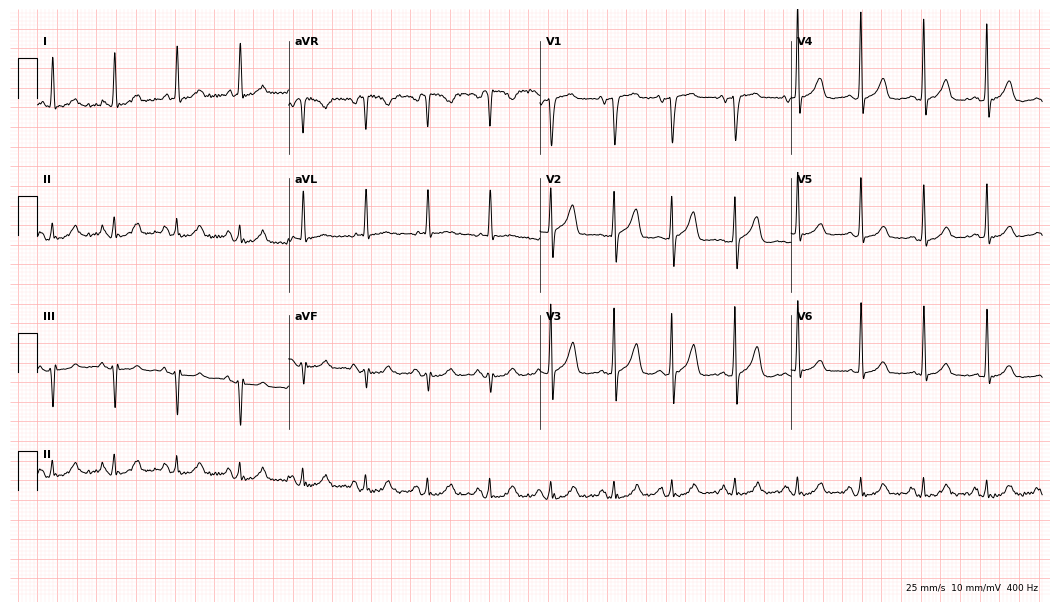
12-lead ECG from a 75-year-old female patient. Labelled as a normal ECG.